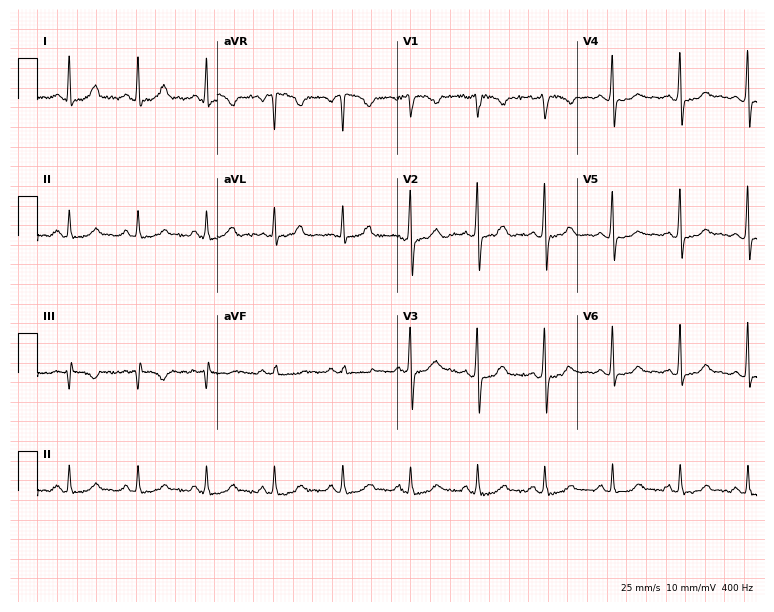
Resting 12-lead electrocardiogram. Patient: a 44-year-old female. None of these six findings is recorded: first-degree AV block, right bundle branch block, left bundle branch block, sinus bradycardia, atrial fibrillation, sinus tachycardia.